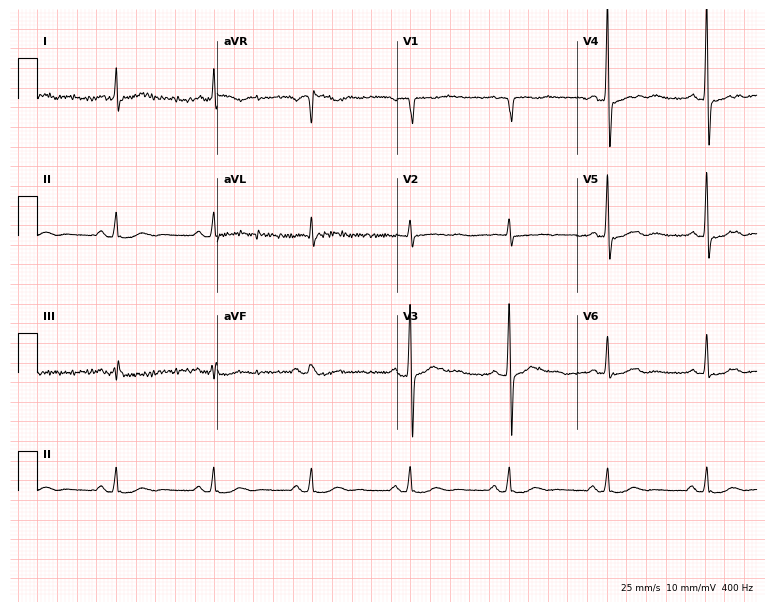
Standard 12-lead ECG recorded from a male patient, 56 years old. None of these six findings is recorded: first-degree AV block, right bundle branch block (RBBB), left bundle branch block (LBBB), sinus bradycardia, atrial fibrillation (AF), sinus tachycardia. Findings outside these six are not listed.